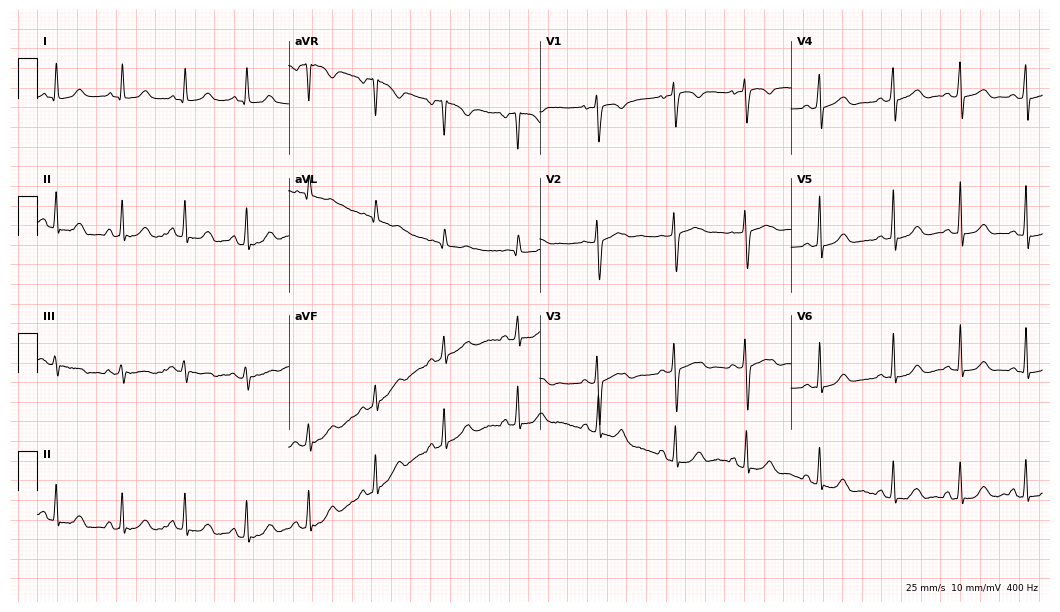
12-lead ECG from a 23-year-old female (10.2-second recording at 400 Hz). Recorded interpretation: within normal limits.